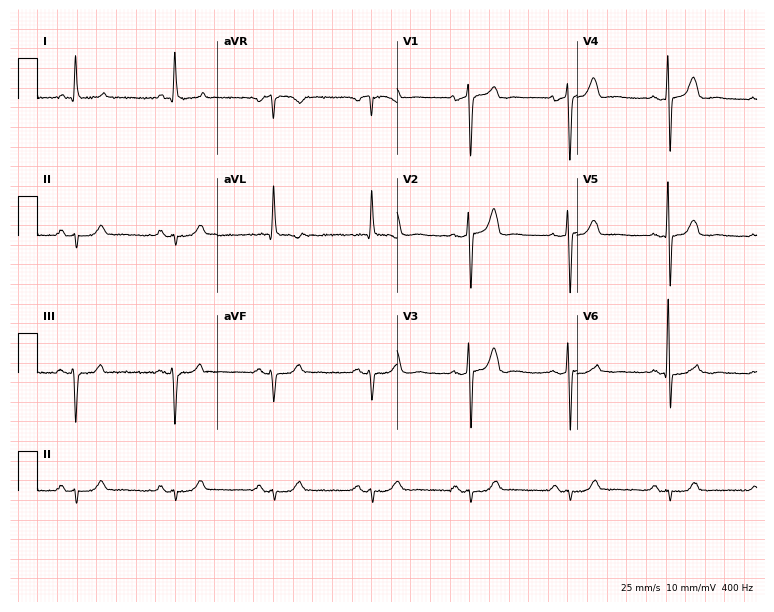
Electrocardiogram (7.3-second recording at 400 Hz), an 82-year-old man. Of the six screened findings (first-degree AV block, right bundle branch block, left bundle branch block, sinus bradycardia, atrial fibrillation, sinus tachycardia), none is recorded.